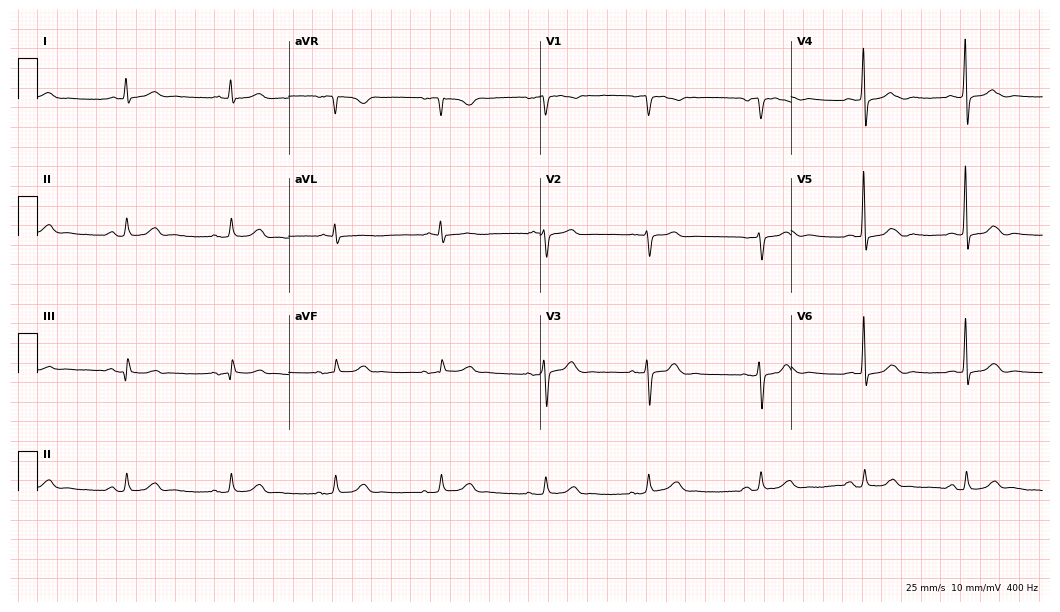
12-lead ECG (10.2-second recording at 400 Hz) from a 63-year-old man. Labelled as a normal ECG.